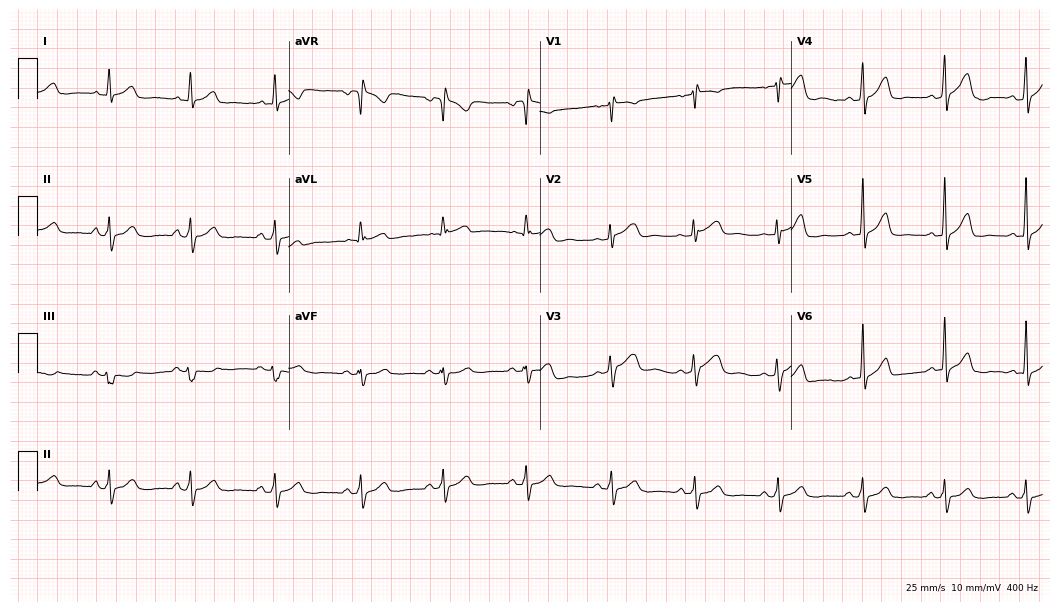
12-lead ECG from a female, 77 years old. Labelled as a normal ECG.